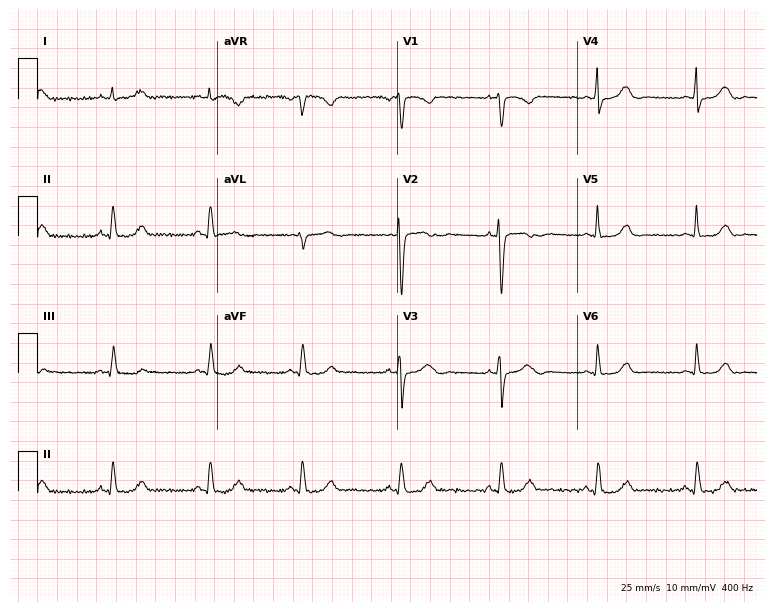
12-lead ECG from a woman, 42 years old. Labelled as a normal ECG.